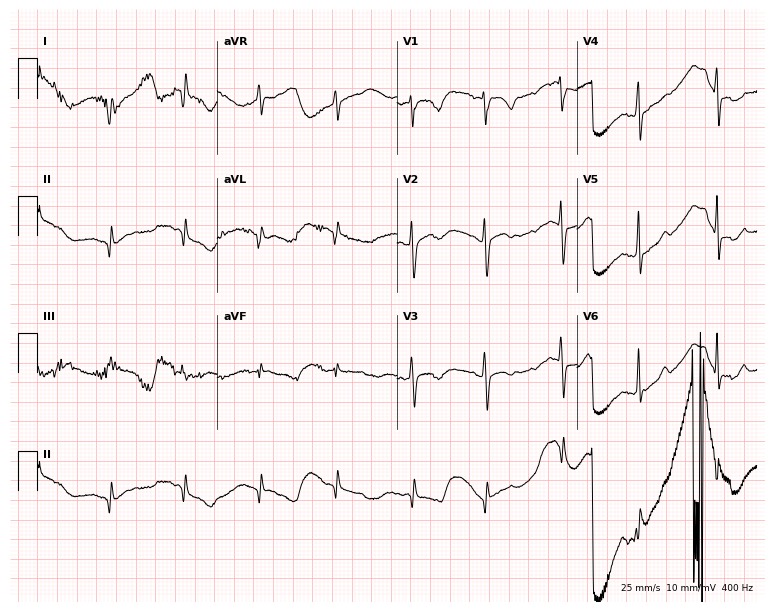
12-lead ECG (7.3-second recording at 400 Hz) from a 36-year-old female. Screened for six findings — first-degree AV block, right bundle branch block, left bundle branch block, sinus bradycardia, atrial fibrillation, sinus tachycardia — none is recorded.